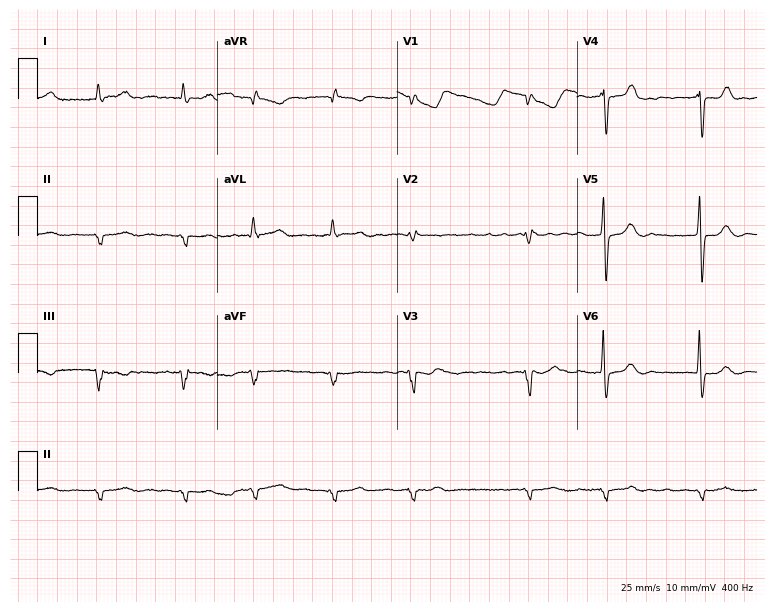
Resting 12-lead electrocardiogram (7.3-second recording at 400 Hz). Patient: a 77-year-old man. The tracing shows atrial fibrillation.